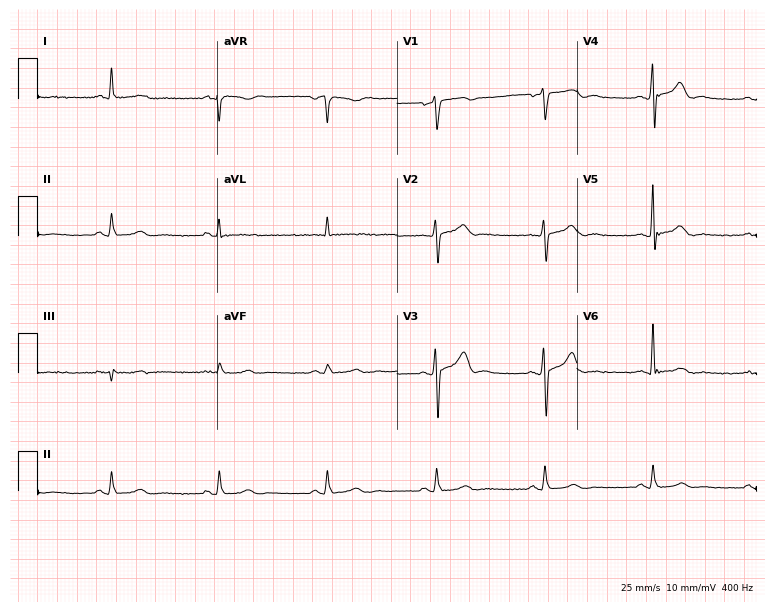
12-lead ECG from a 57-year-old female patient. No first-degree AV block, right bundle branch block, left bundle branch block, sinus bradycardia, atrial fibrillation or sinus tachycardia recorded for this tracing.